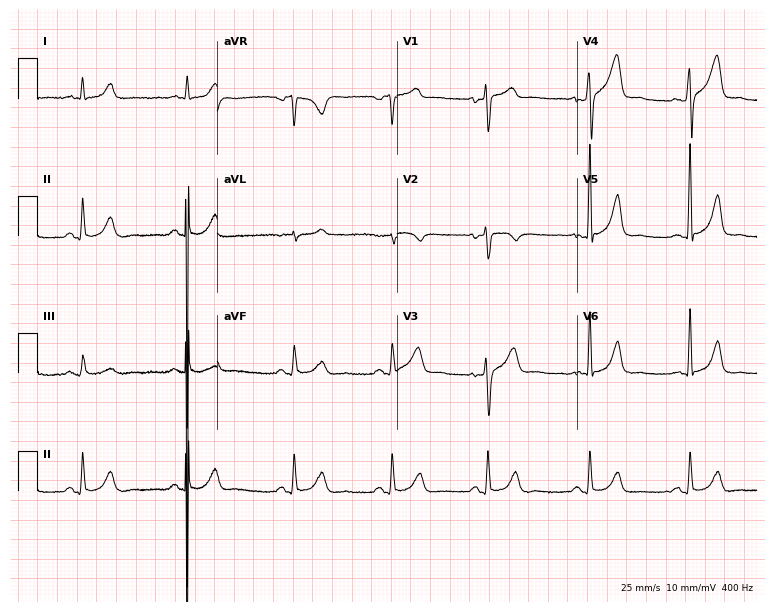
ECG — a 47-year-old man. Labelled as a normal ECG.